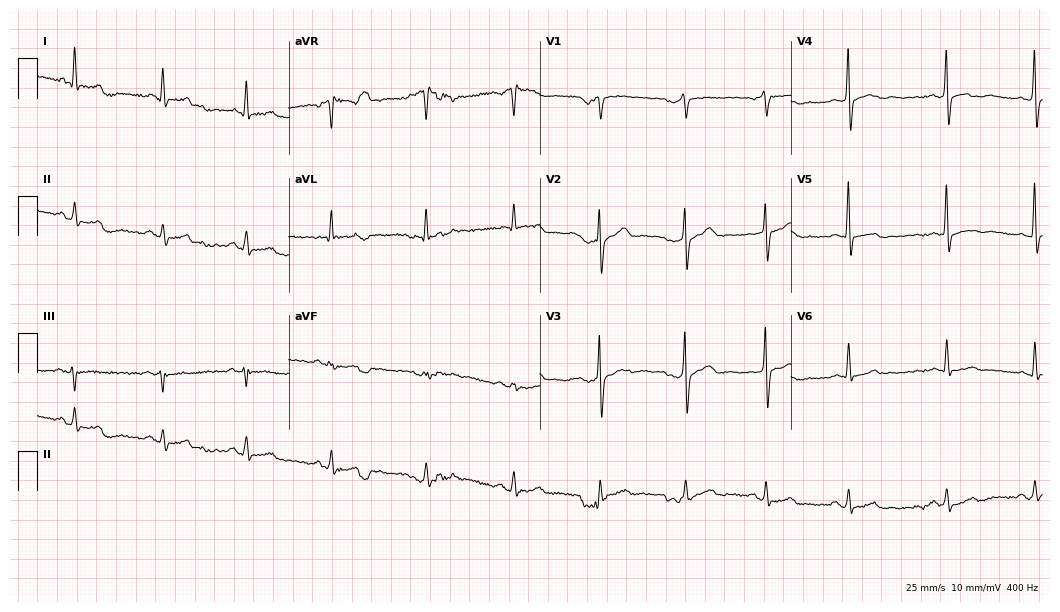
Resting 12-lead electrocardiogram (10.2-second recording at 400 Hz). Patient: a male, 38 years old. Read as a normal ECG.